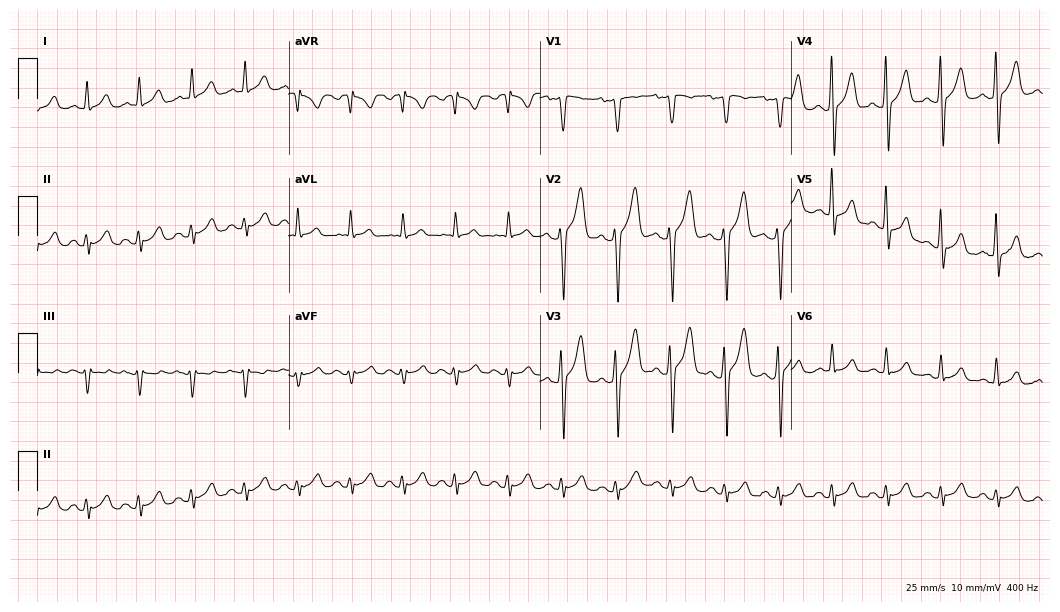
12-lead ECG from a male patient, 47 years old (10.2-second recording at 400 Hz). Shows sinus tachycardia (a sinus rate of 100 beats per minute or more).